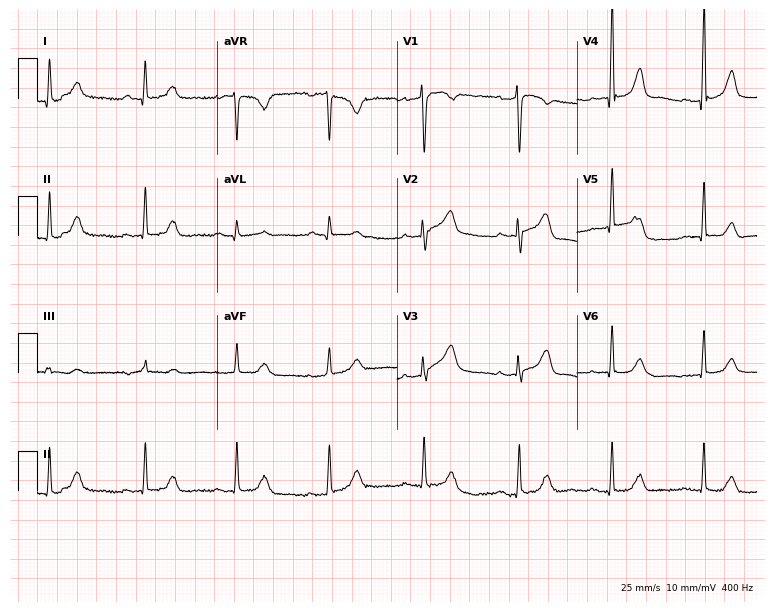
12-lead ECG from a woman, 62 years old. Labelled as a normal ECG.